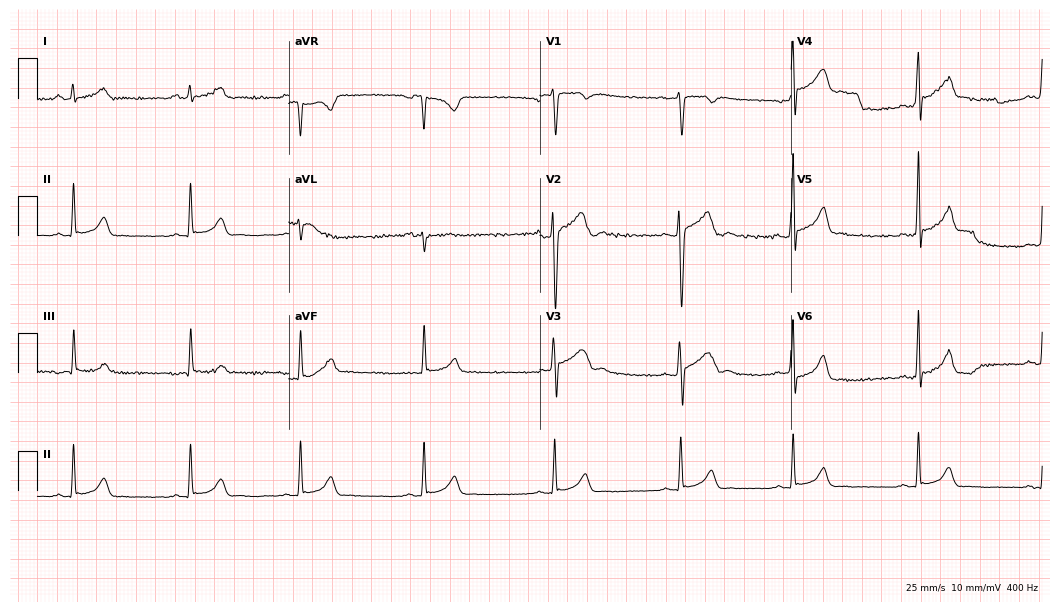
ECG (10.2-second recording at 400 Hz) — a 17-year-old male. Findings include sinus bradycardia (a sinus rate of 50 beats per minute or less).